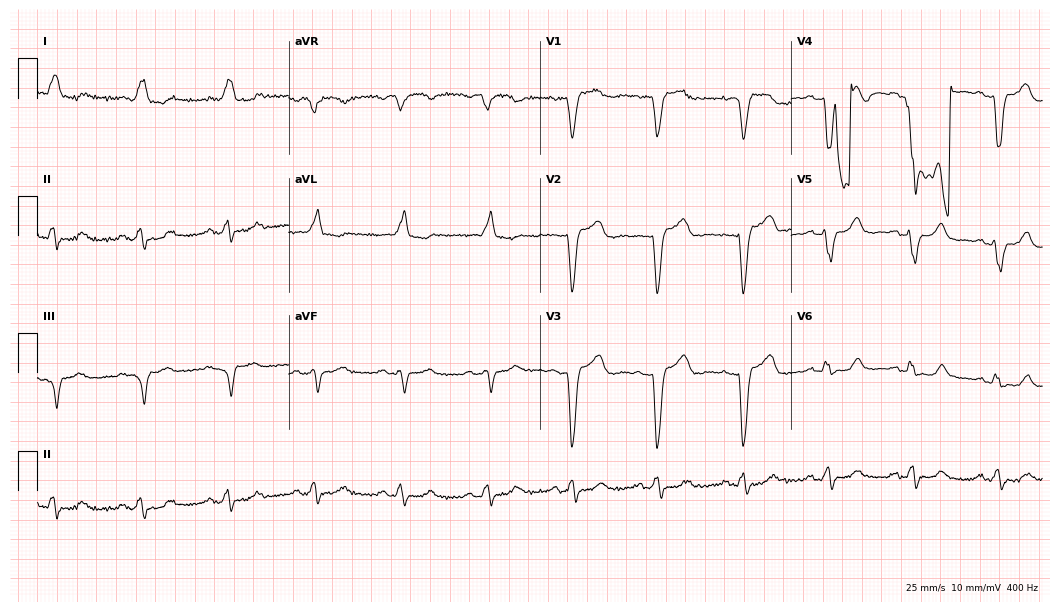
12-lead ECG from an 83-year-old female. Findings include left bundle branch block (LBBB).